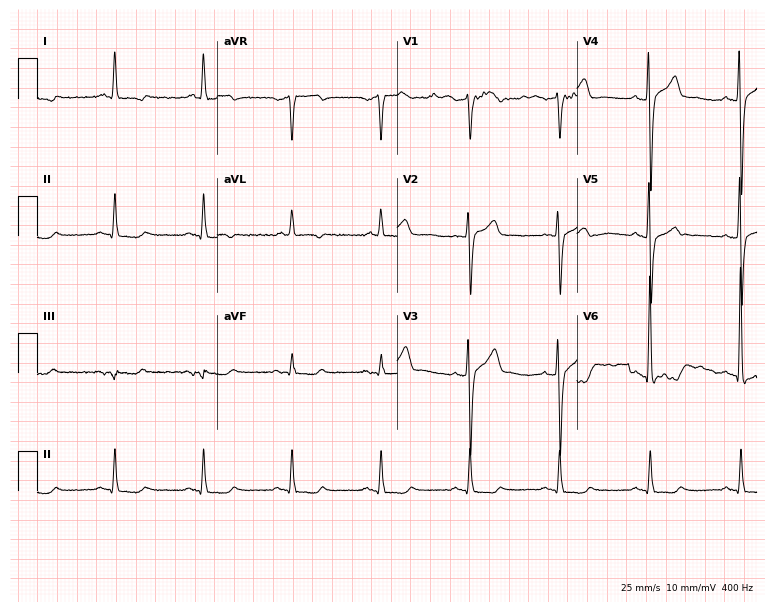
Standard 12-lead ECG recorded from a male, 73 years old. None of these six findings is recorded: first-degree AV block, right bundle branch block, left bundle branch block, sinus bradycardia, atrial fibrillation, sinus tachycardia. Other findings, if any, are not listed.